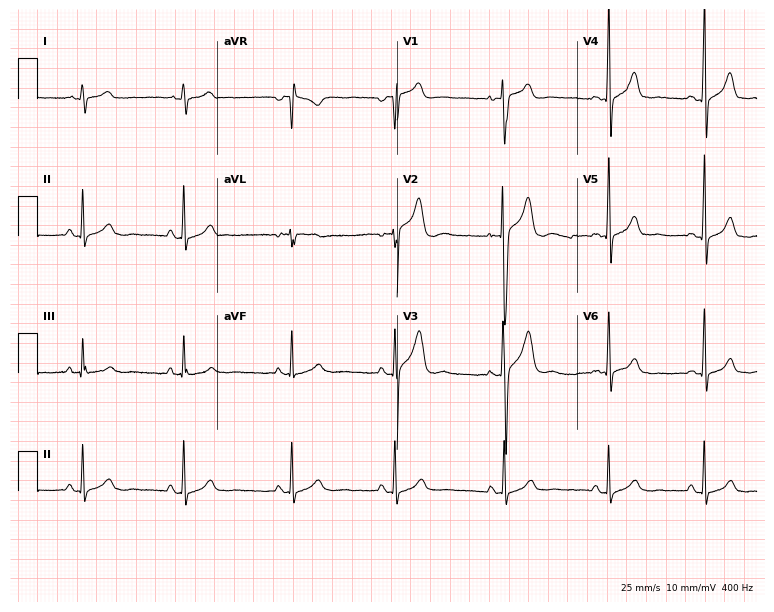
Resting 12-lead electrocardiogram. Patient: an 18-year-old man. Read as a normal ECG.